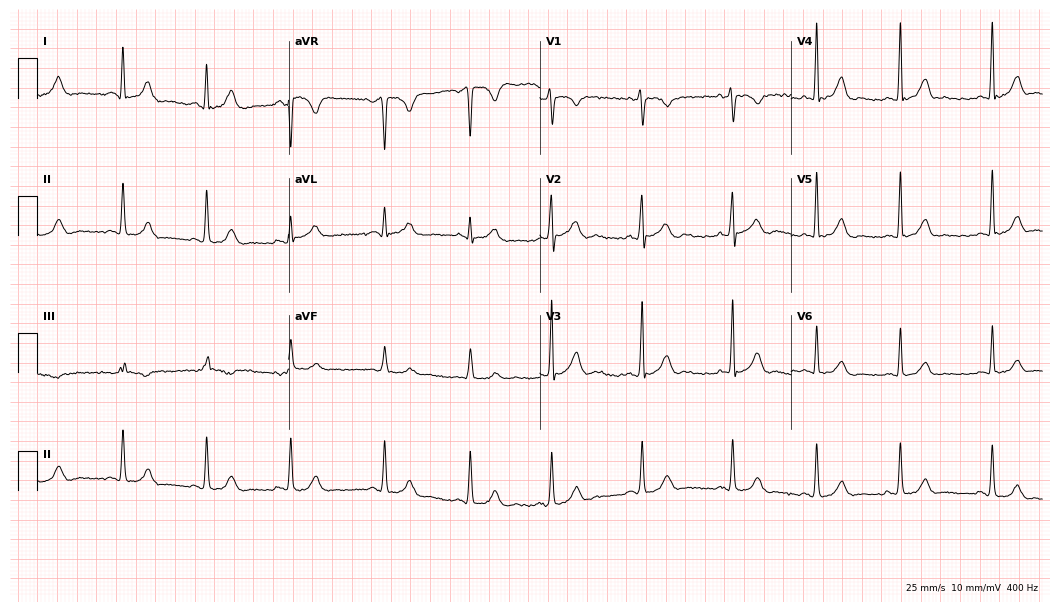
Standard 12-lead ECG recorded from a woman, 28 years old (10.2-second recording at 400 Hz). Read as a normal ECG.